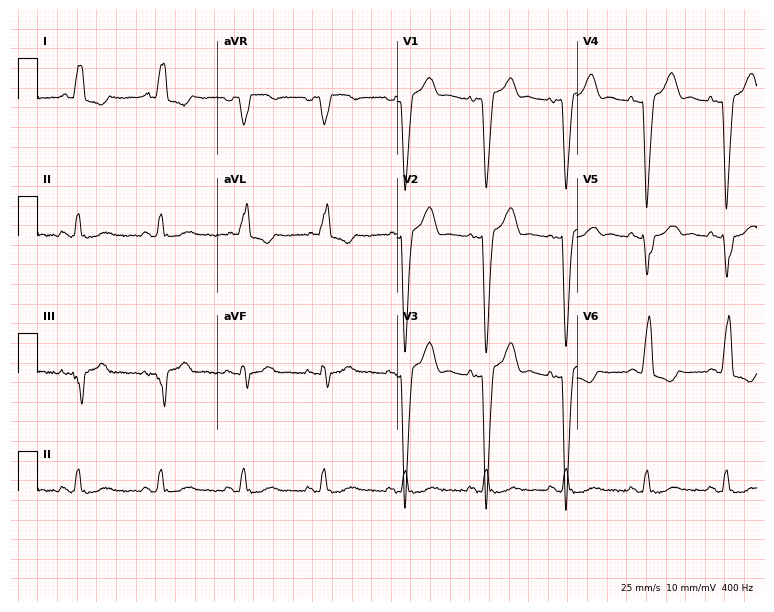
Resting 12-lead electrocardiogram (7.3-second recording at 400 Hz). Patient: a female, 72 years old. None of these six findings is recorded: first-degree AV block, right bundle branch block, left bundle branch block, sinus bradycardia, atrial fibrillation, sinus tachycardia.